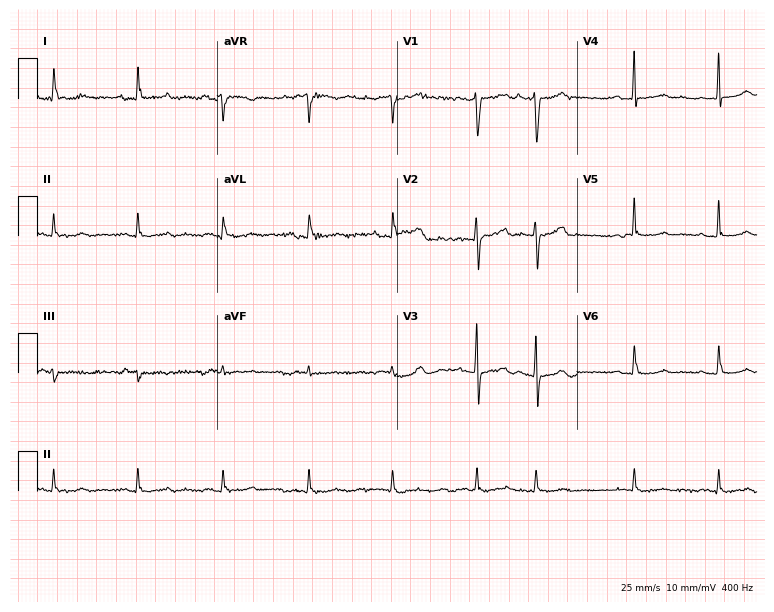
12-lead ECG from an 84-year-old woman. Screened for six findings — first-degree AV block, right bundle branch block (RBBB), left bundle branch block (LBBB), sinus bradycardia, atrial fibrillation (AF), sinus tachycardia — none is recorded.